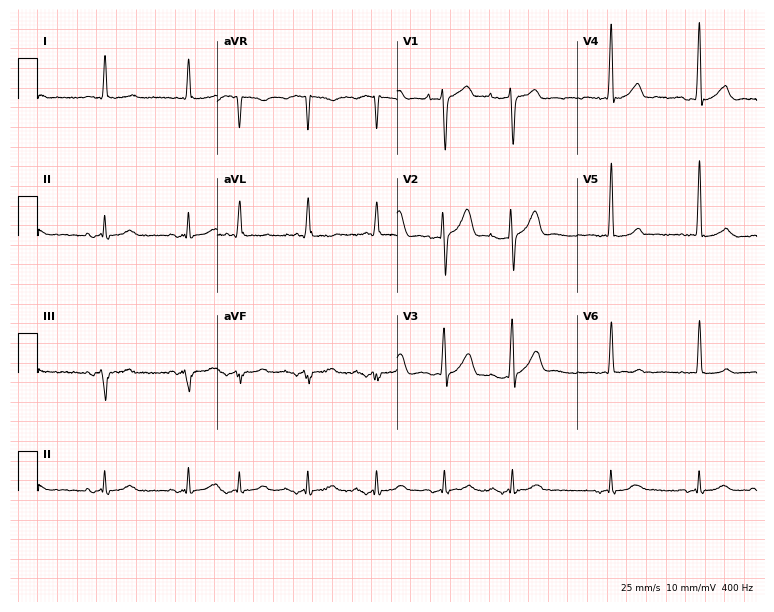
Standard 12-lead ECG recorded from an 83-year-old male patient. None of these six findings is recorded: first-degree AV block, right bundle branch block (RBBB), left bundle branch block (LBBB), sinus bradycardia, atrial fibrillation (AF), sinus tachycardia. Other findings, if any, are not listed.